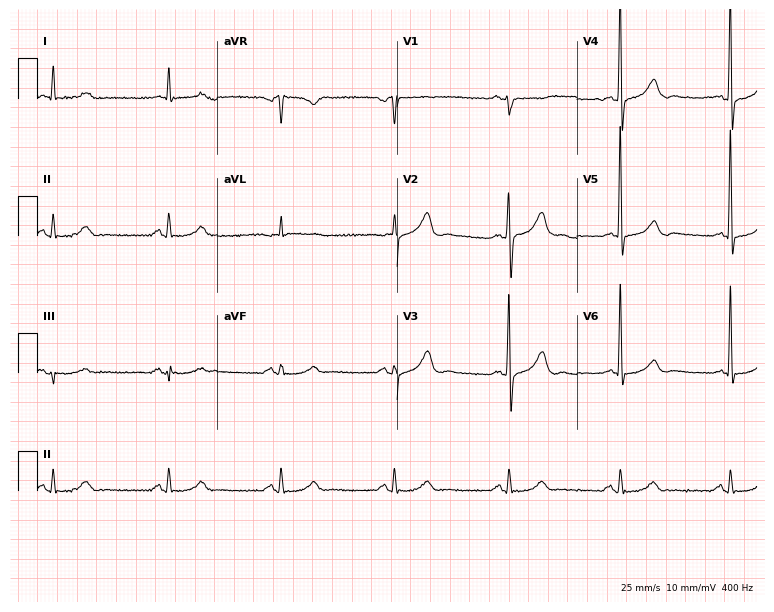
ECG (7.3-second recording at 400 Hz) — a man, 72 years old. Screened for six findings — first-degree AV block, right bundle branch block, left bundle branch block, sinus bradycardia, atrial fibrillation, sinus tachycardia — none is recorded.